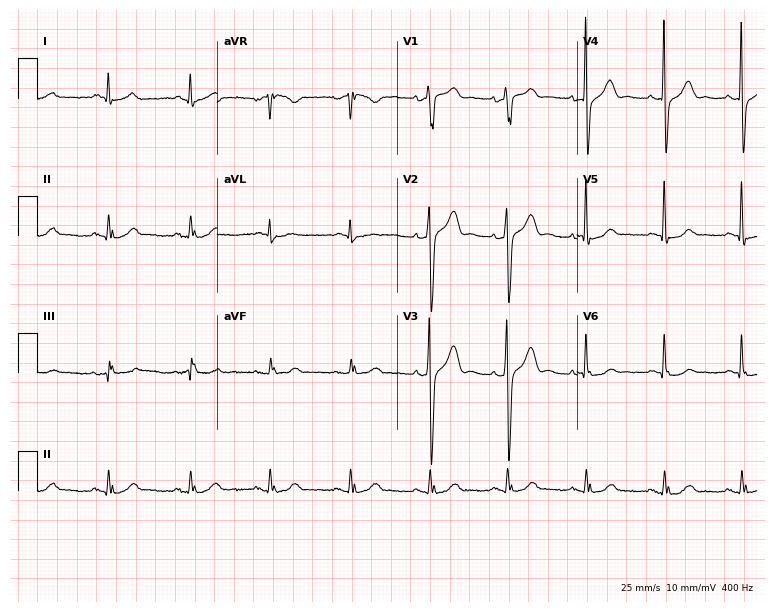
12-lead ECG from a man, 59 years old (7.3-second recording at 400 Hz). No first-degree AV block, right bundle branch block, left bundle branch block, sinus bradycardia, atrial fibrillation or sinus tachycardia recorded for this tracing.